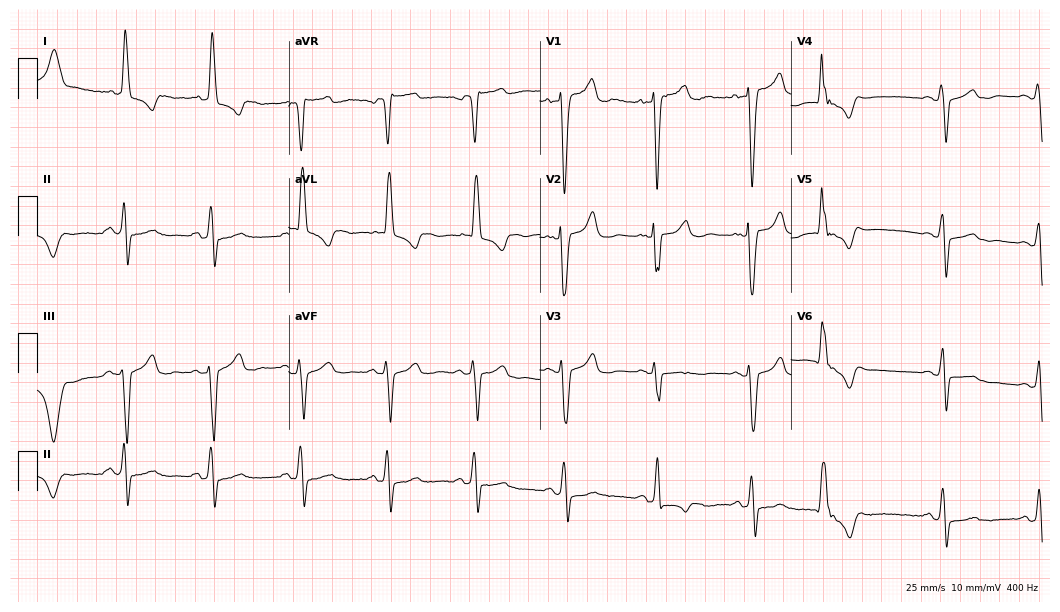
Standard 12-lead ECG recorded from a 64-year-old woman. None of these six findings is recorded: first-degree AV block, right bundle branch block, left bundle branch block, sinus bradycardia, atrial fibrillation, sinus tachycardia. Findings outside these six are not listed.